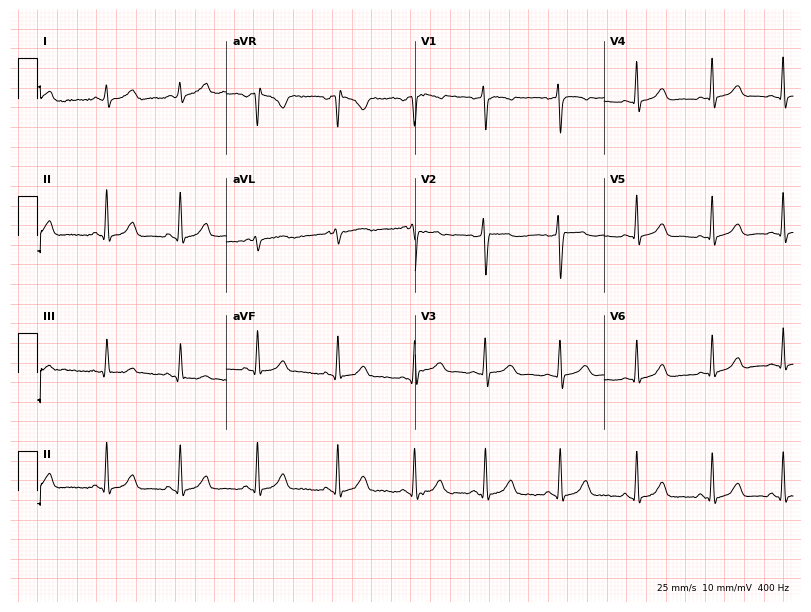
12-lead ECG from a female, 23 years old. Recorded interpretation: within normal limits.